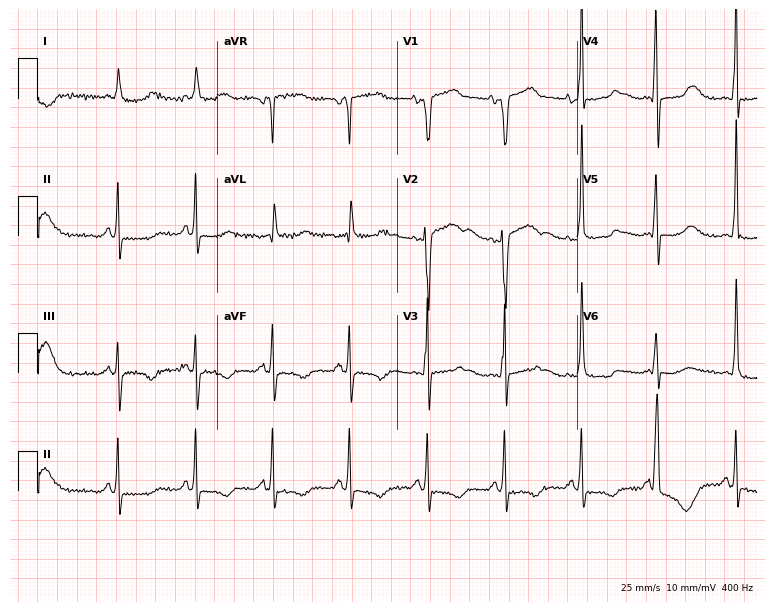
Electrocardiogram, a male, 69 years old. Of the six screened findings (first-degree AV block, right bundle branch block (RBBB), left bundle branch block (LBBB), sinus bradycardia, atrial fibrillation (AF), sinus tachycardia), none is recorded. Findings outside these six are not listed.